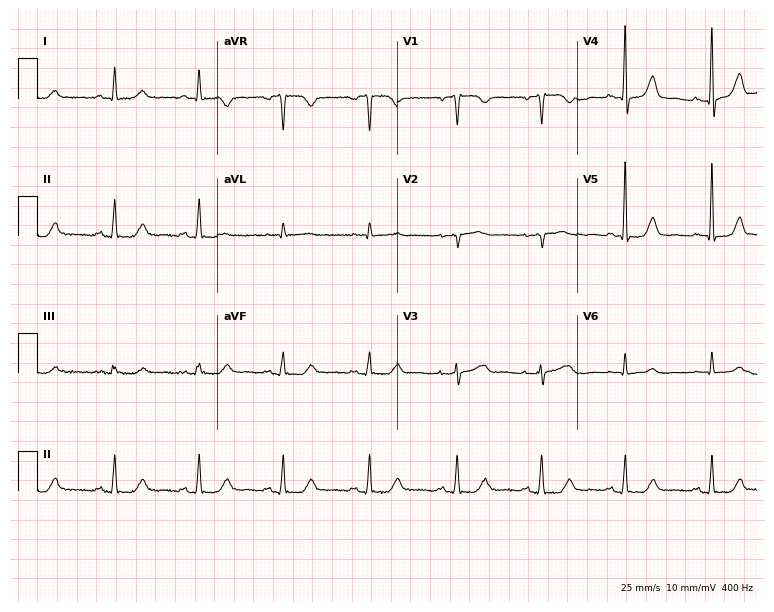
12-lead ECG (7.3-second recording at 400 Hz) from a 68-year-old female patient. Labelled as a normal ECG.